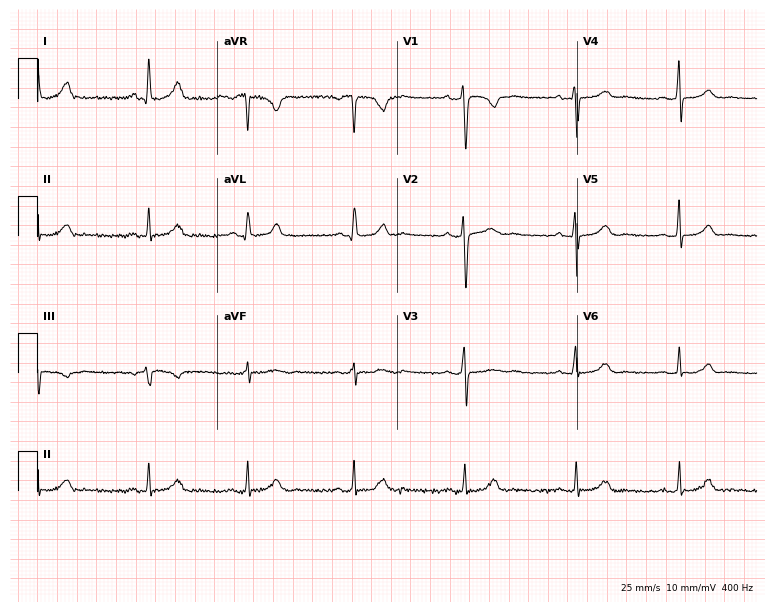
Electrocardiogram, a 44-year-old woman. Overall reading on record: normal ECG.